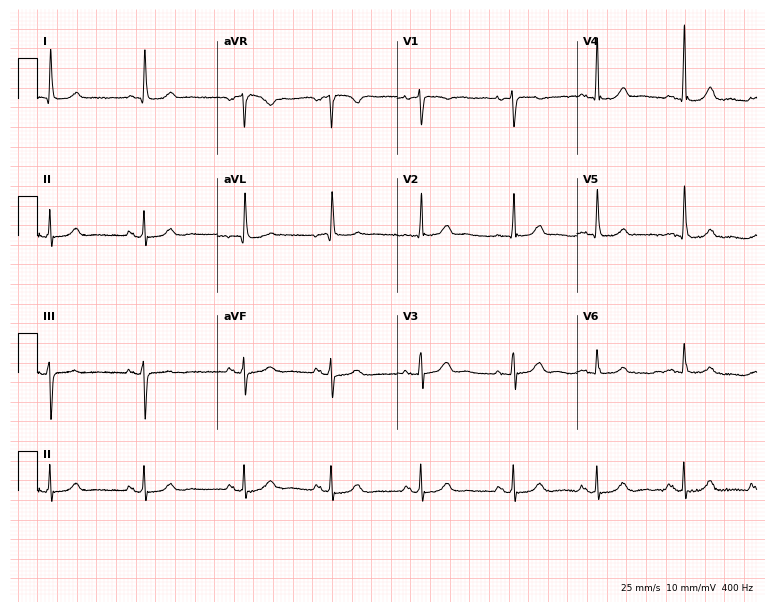
12-lead ECG from a 77-year-old female patient. Recorded interpretation: within normal limits.